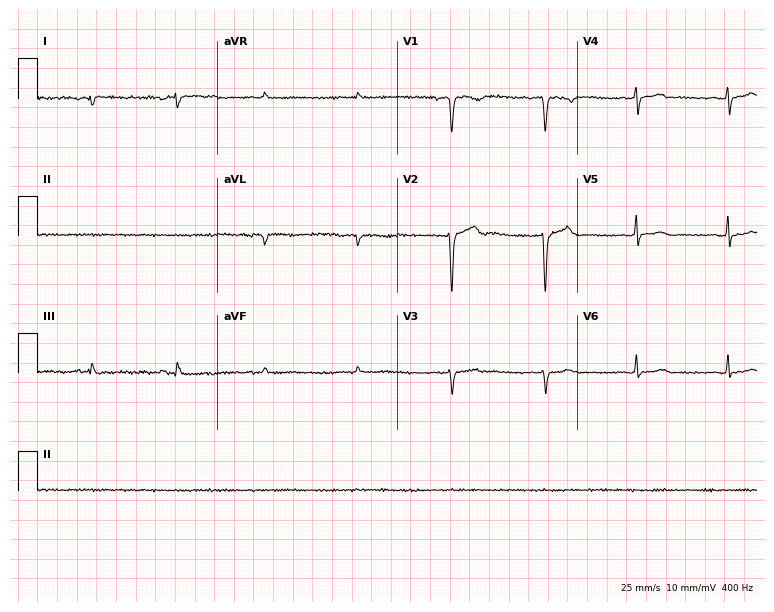
12-lead ECG (7.3-second recording at 400 Hz) from a woman, 38 years old. Screened for six findings — first-degree AV block, right bundle branch block (RBBB), left bundle branch block (LBBB), sinus bradycardia, atrial fibrillation (AF), sinus tachycardia — none is recorded.